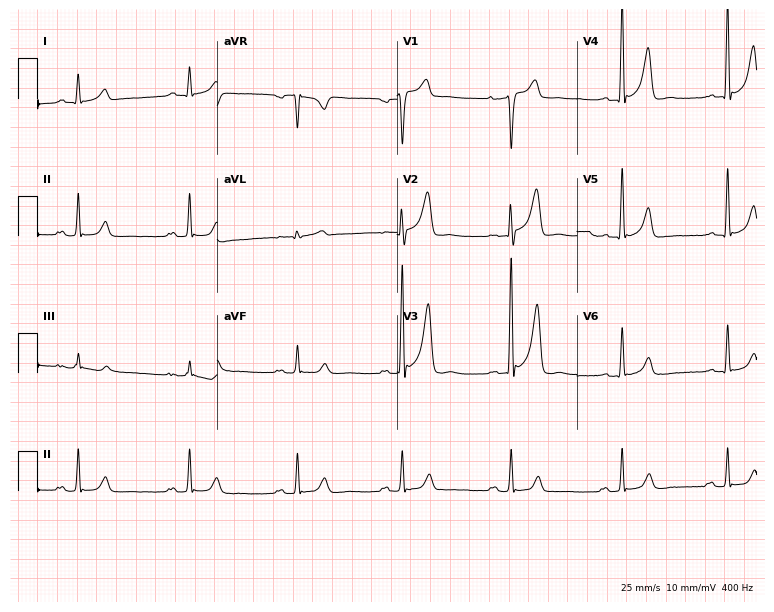
12-lead ECG from a 48-year-old male patient (7.3-second recording at 400 Hz). No first-degree AV block, right bundle branch block (RBBB), left bundle branch block (LBBB), sinus bradycardia, atrial fibrillation (AF) or sinus tachycardia recorded for this tracing. Findings outside these six are not listed.